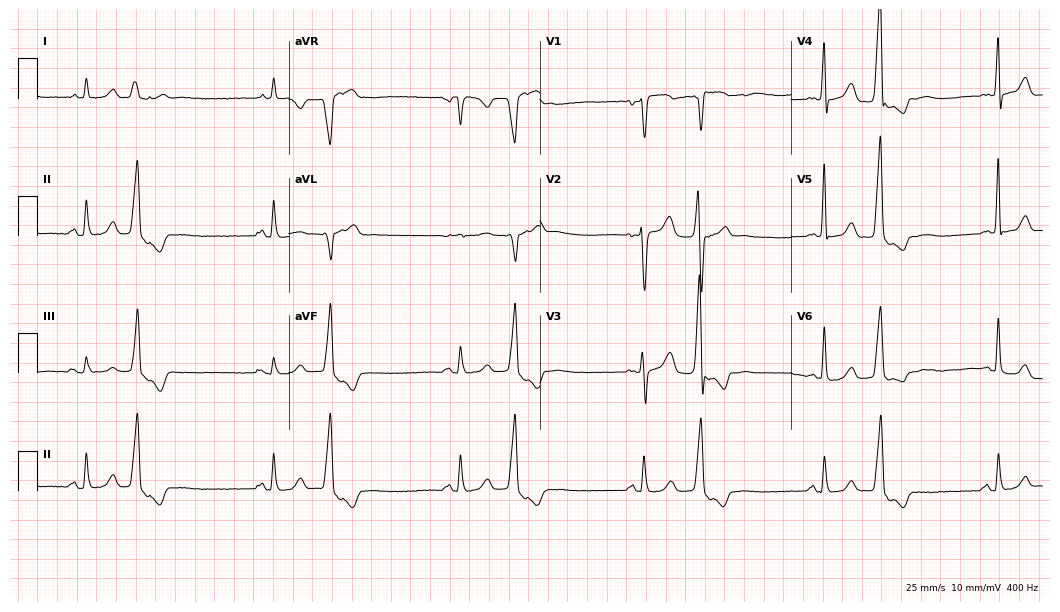
12-lead ECG from a male patient, 74 years old (10.2-second recording at 400 Hz). No first-degree AV block, right bundle branch block (RBBB), left bundle branch block (LBBB), sinus bradycardia, atrial fibrillation (AF) or sinus tachycardia recorded for this tracing.